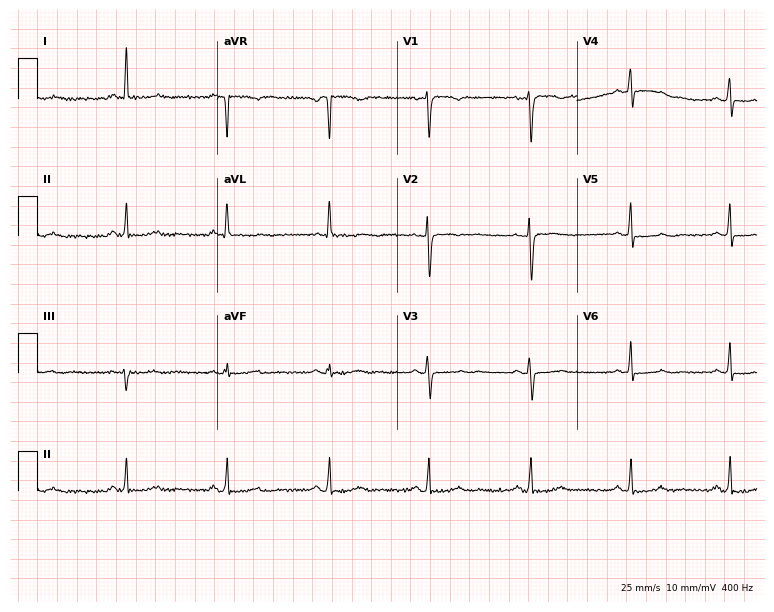
12-lead ECG (7.3-second recording at 400 Hz) from a female, 49 years old. Screened for six findings — first-degree AV block, right bundle branch block, left bundle branch block, sinus bradycardia, atrial fibrillation, sinus tachycardia — none is recorded.